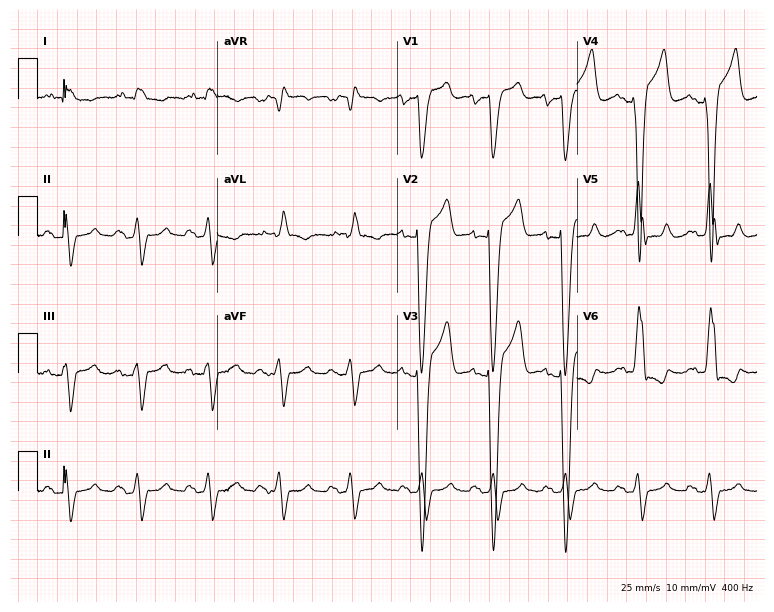
ECG (7.3-second recording at 400 Hz) — a 56-year-old male patient. Findings include left bundle branch block (LBBB).